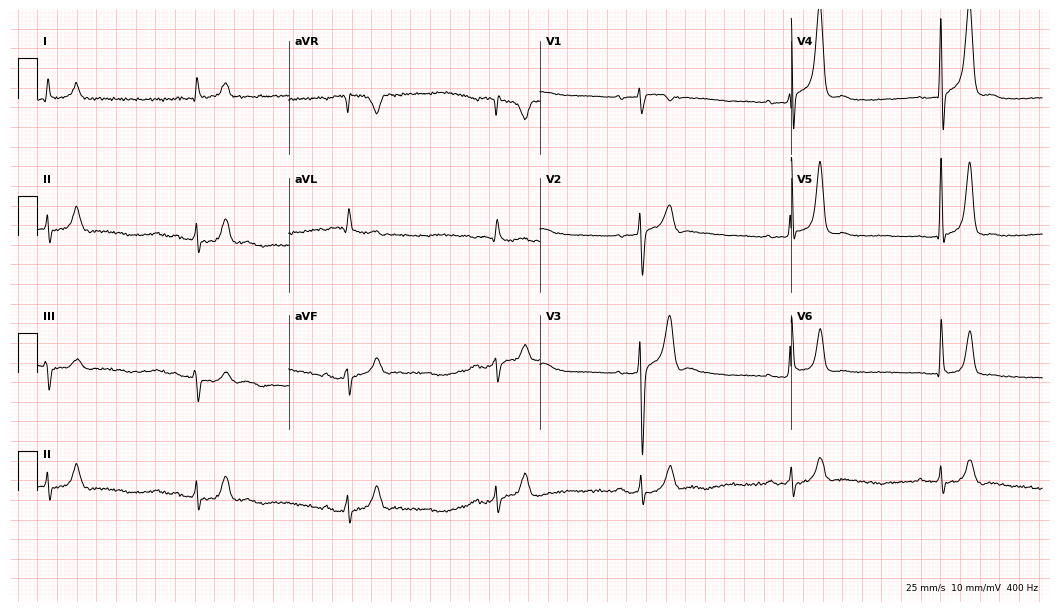
12-lead ECG (10.2-second recording at 400 Hz) from a 79-year-old male. Findings include first-degree AV block, sinus bradycardia (a sinus rate of 50 beats per minute or less).